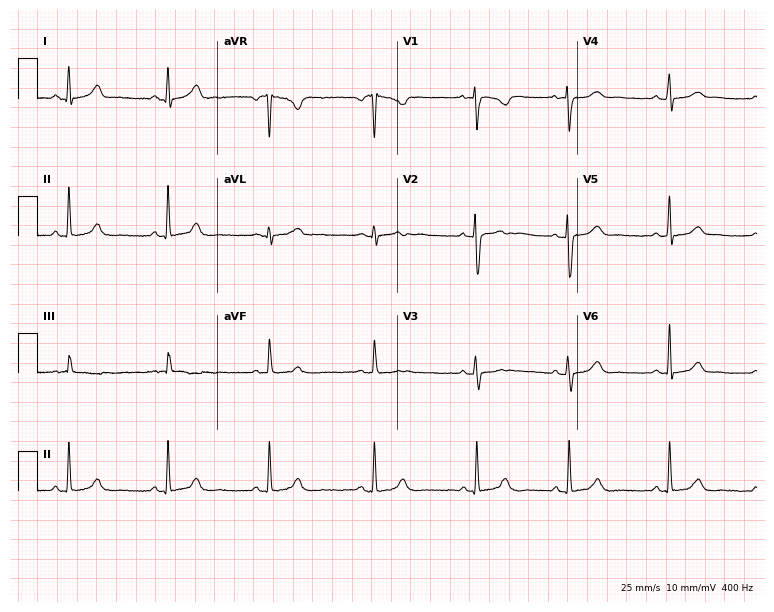
12-lead ECG from a female patient, 28 years old. Labelled as a normal ECG.